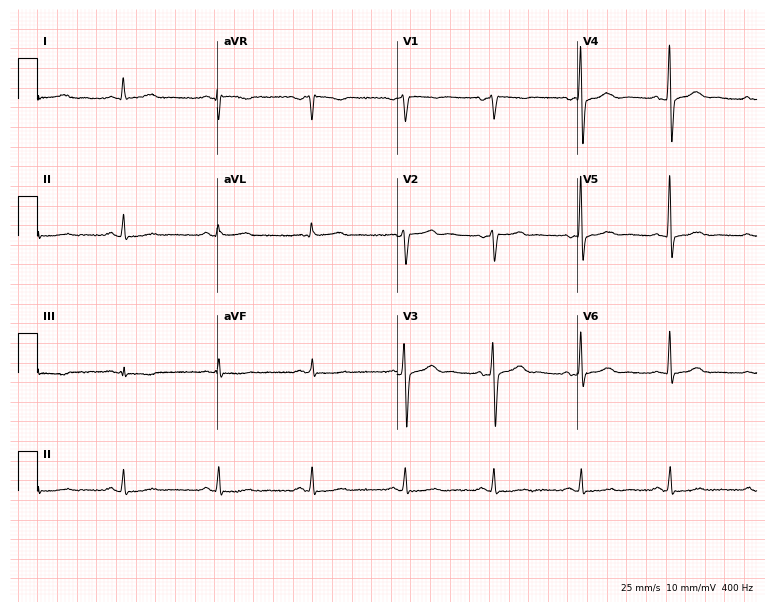
12-lead ECG from a 43-year-old male. No first-degree AV block, right bundle branch block, left bundle branch block, sinus bradycardia, atrial fibrillation or sinus tachycardia recorded for this tracing. Only these six findings were labelled.